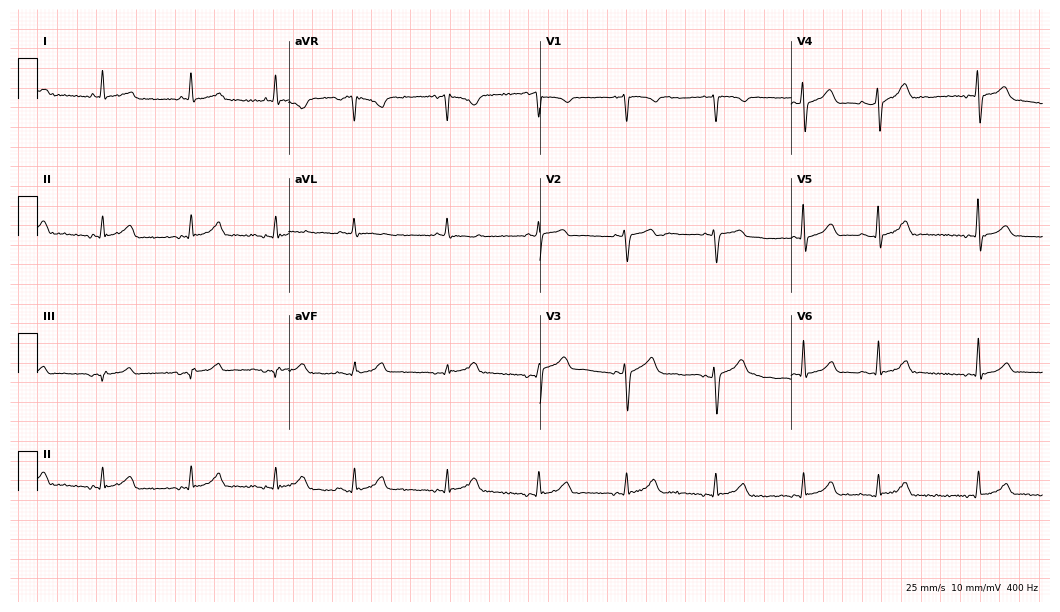
Standard 12-lead ECG recorded from a 65-year-old man. Read as a normal ECG.